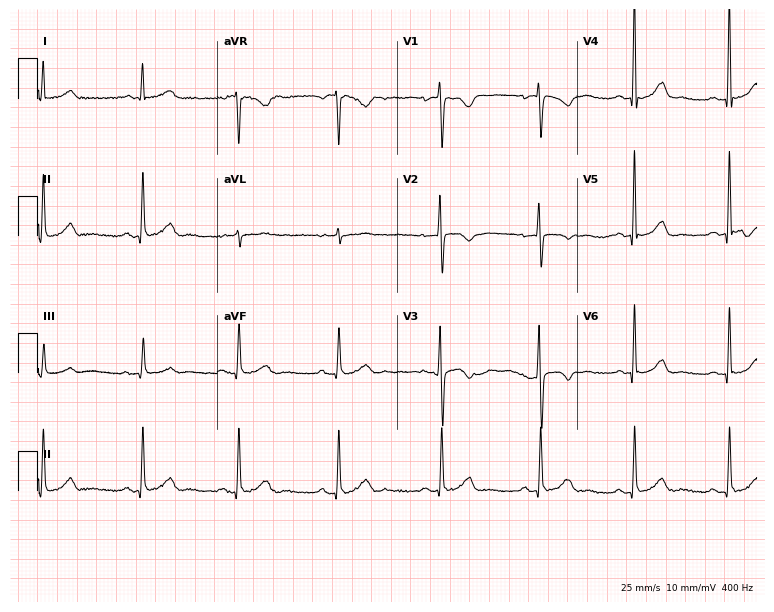
Resting 12-lead electrocardiogram (7.3-second recording at 400 Hz). Patient: a female, 44 years old. Read as a normal ECG.